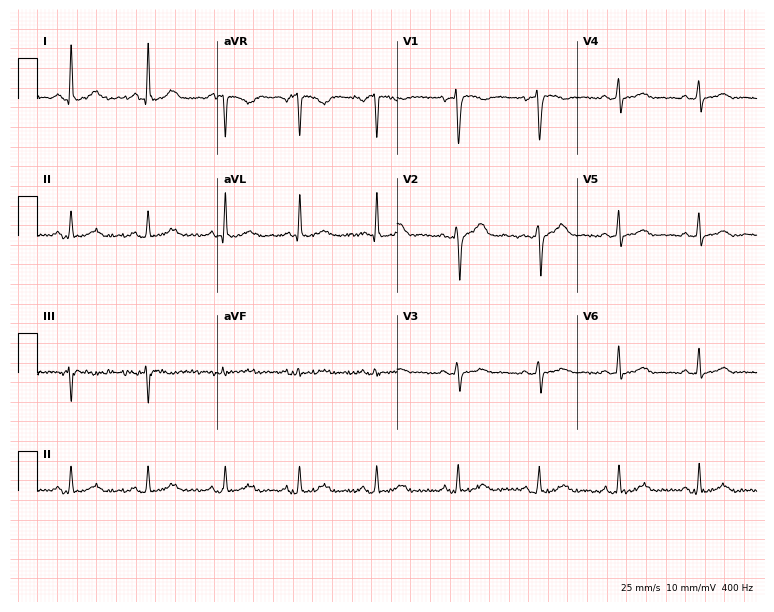
Resting 12-lead electrocardiogram. Patient: a female, 46 years old. Read as a normal ECG.